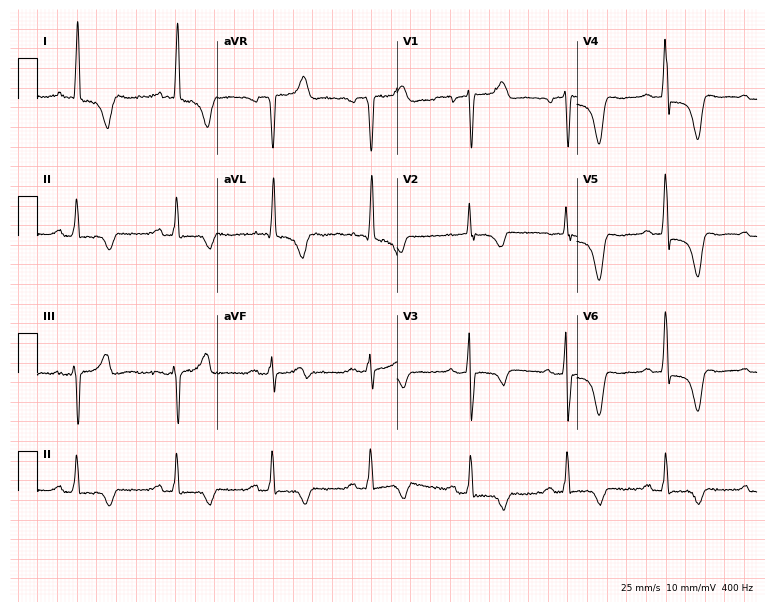
12-lead ECG from a woman, 53 years old. Screened for six findings — first-degree AV block, right bundle branch block, left bundle branch block, sinus bradycardia, atrial fibrillation, sinus tachycardia — none is recorded.